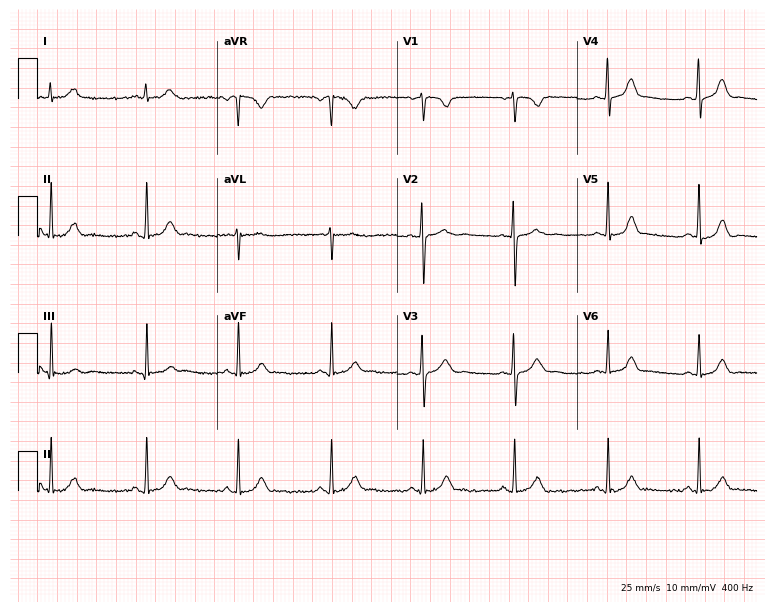
12-lead ECG from a 24-year-old woman. Screened for six findings — first-degree AV block, right bundle branch block (RBBB), left bundle branch block (LBBB), sinus bradycardia, atrial fibrillation (AF), sinus tachycardia — none is recorded. Only these six findings were labelled.